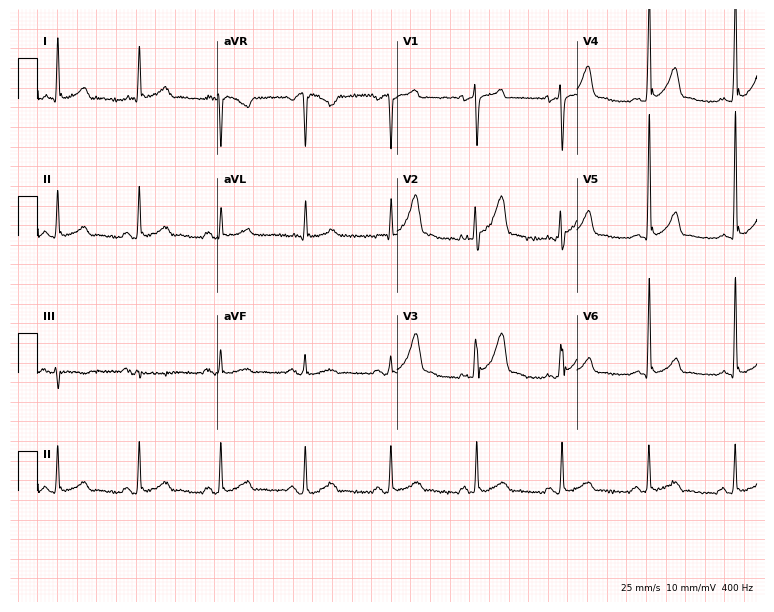
Electrocardiogram, a 45-year-old male. Of the six screened findings (first-degree AV block, right bundle branch block (RBBB), left bundle branch block (LBBB), sinus bradycardia, atrial fibrillation (AF), sinus tachycardia), none is recorded. Findings outside these six are not listed.